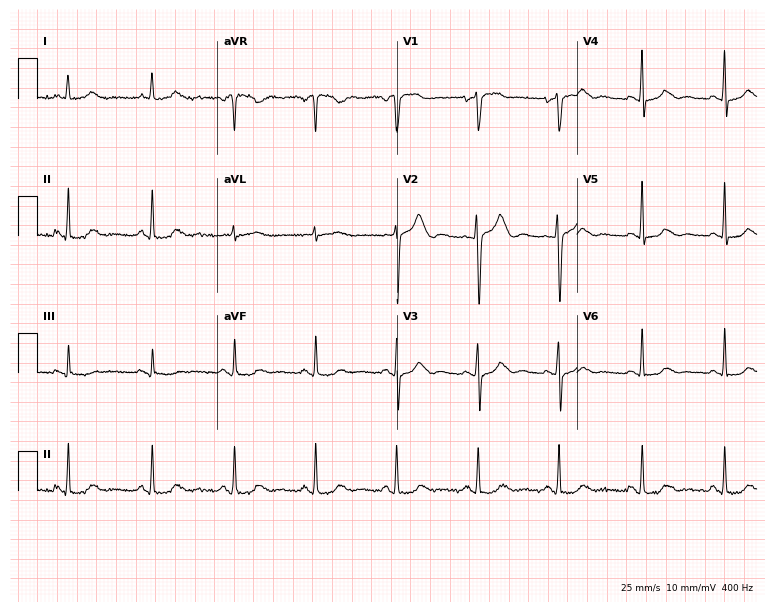
ECG (7.3-second recording at 400 Hz) — a 67-year-old female patient. Labelled as a normal ECG.